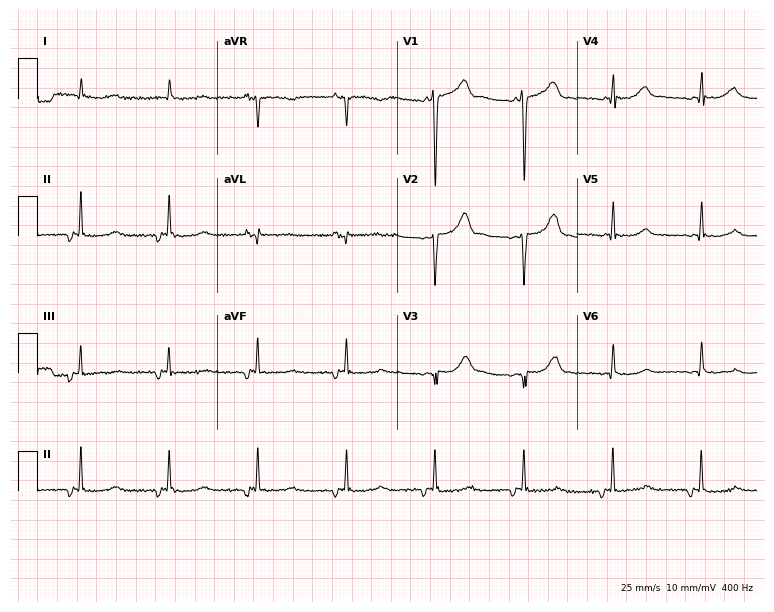
12-lead ECG from a male patient, 79 years old. Screened for six findings — first-degree AV block, right bundle branch block, left bundle branch block, sinus bradycardia, atrial fibrillation, sinus tachycardia — none is recorded. Only these six findings were labelled.